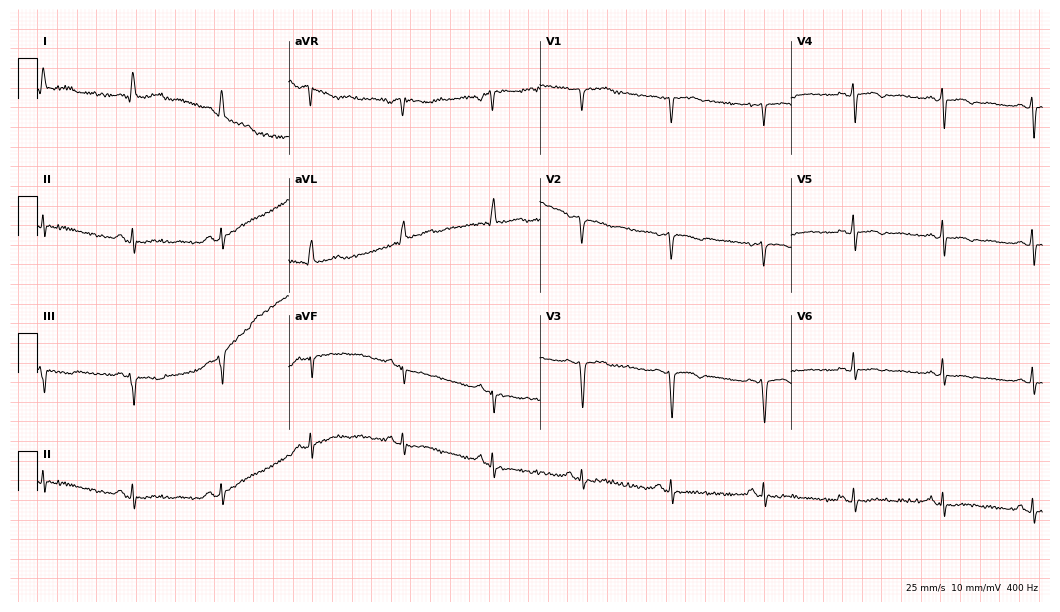
ECG (10.2-second recording at 400 Hz) — a 65-year-old female. Screened for six findings — first-degree AV block, right bundle branch block, left bundle branch block, sinus bradycardia, atrial fibrillation, sinus tachycardia — none is recorded.